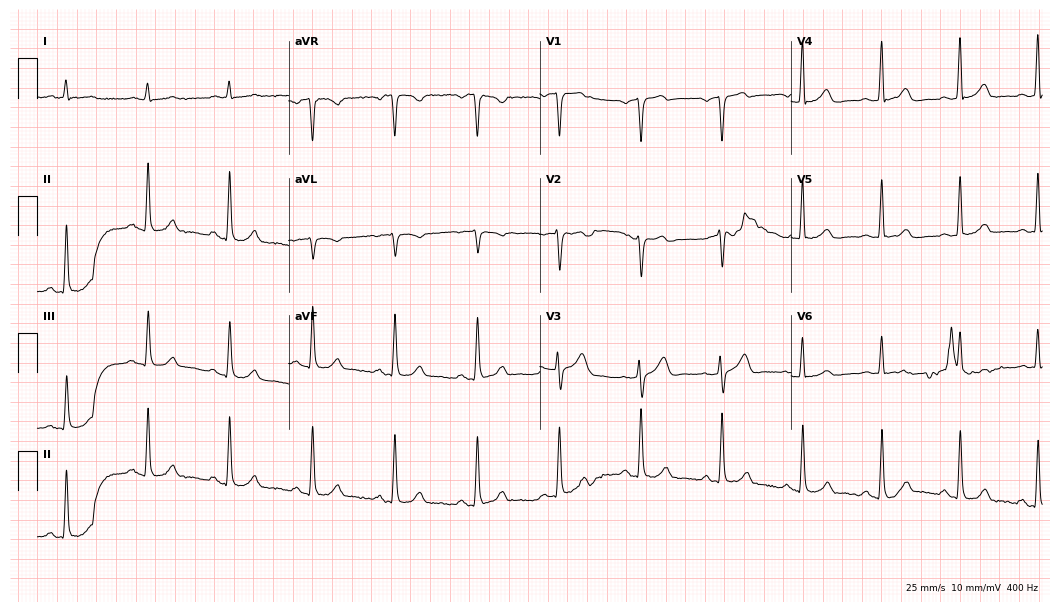
Resting 12-lead electrocardiogram. Patient: a 50-year-old man. None of these six findings is recorded: first-degree AV block, right bundle branch block, left bundle branch block, sinus bradycardia, atrial fibrillation, sinus tachycardia. Only these six findings were labelled.